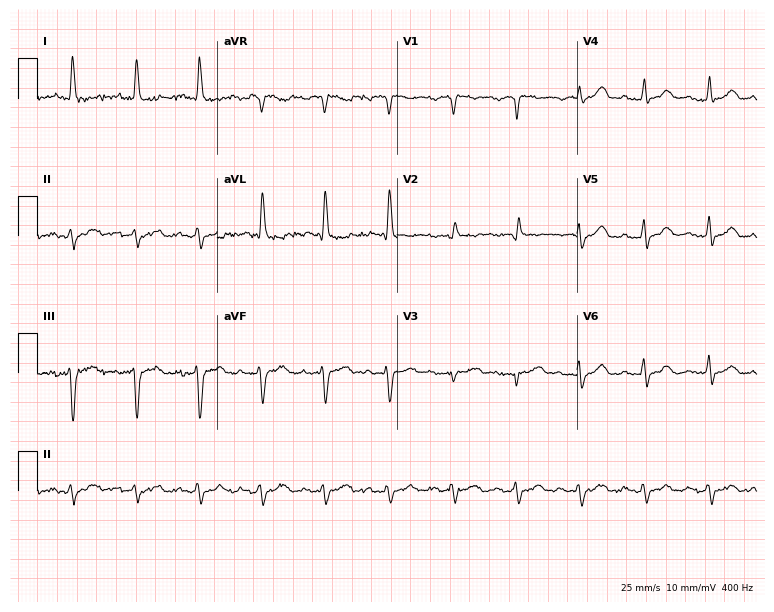
12-lead ECG from a 74-year-old male. No first-degree AV block, right bundle branch block, left bundle branch block, sinus bradycardia, atrial fibrillation or sinus tachycardia recorded for this tracing.